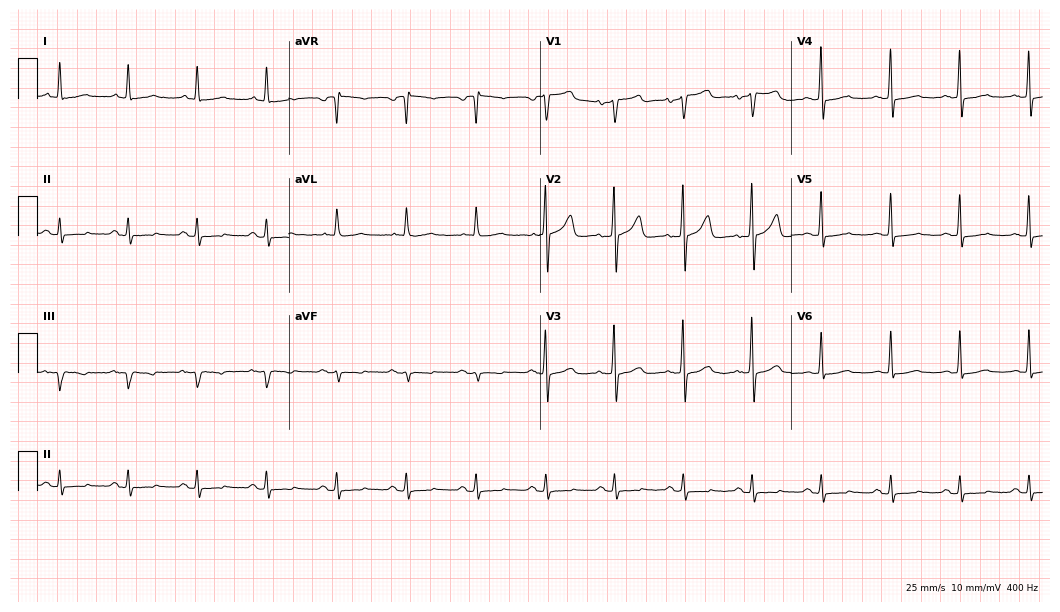
12-lead ECG from a man, 65 years old. No first-degree AV block, right bundle branch block, left bundle branch block, sinus bradycardia, atrial fibrillation or sinus tachycardia recorded for this tracing. Other findings, if any, are not listed.